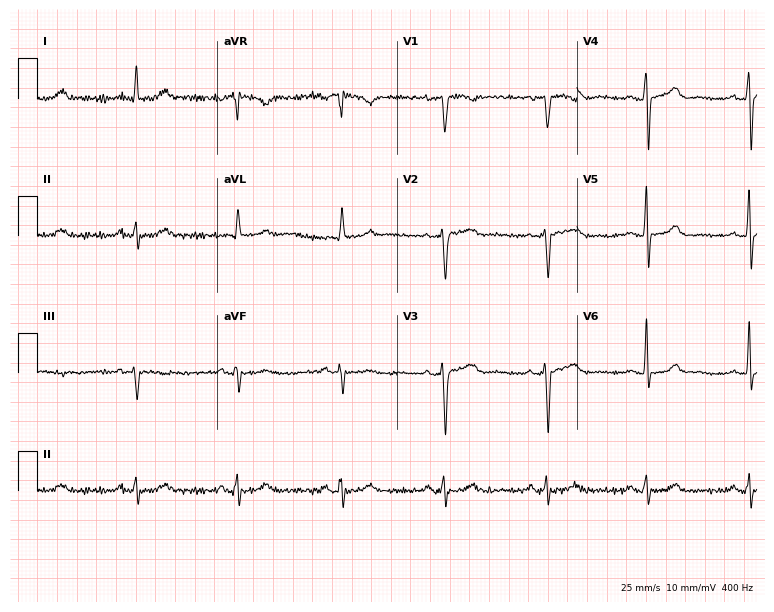
Resting 12-lead electrocardiogram. Patient: a 57-year-old female. None of these six findings is recorded: first-degree AV block, right bundle branch block, left bundle branch block, sinus bradycardia, atrial fibrillation, sinus tachycardia.